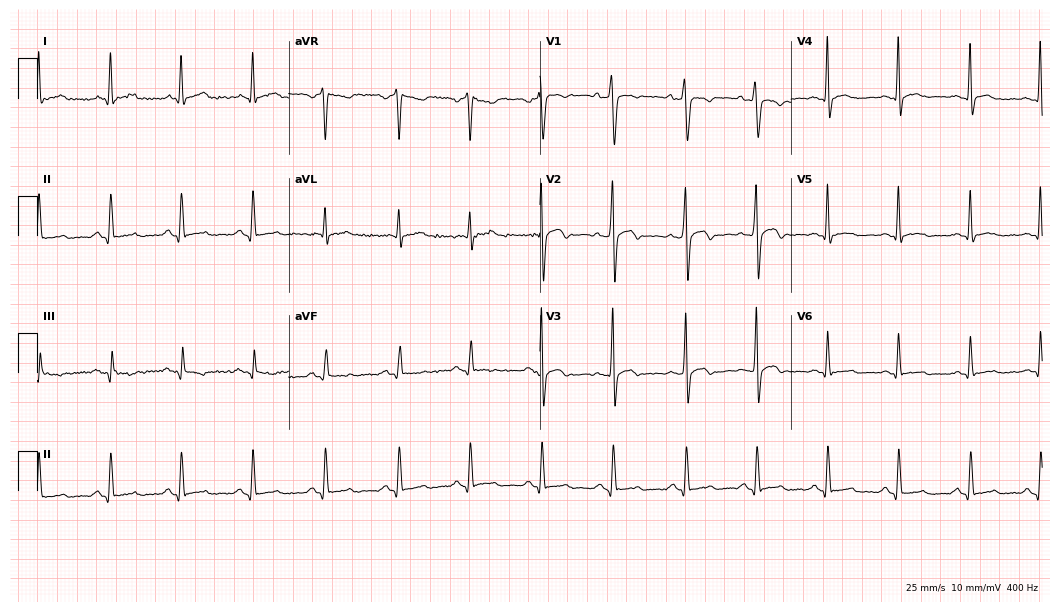
12-lead ECG from a man, 31 years old. No first-degree AV block, right bundle branch block (RBBB), left bundle branch block (LBBB), sinus bradycardia, atrial fibrillation (AF) or sinus tachycardia recorded for this tracing. Other findings, if any, are not listed.